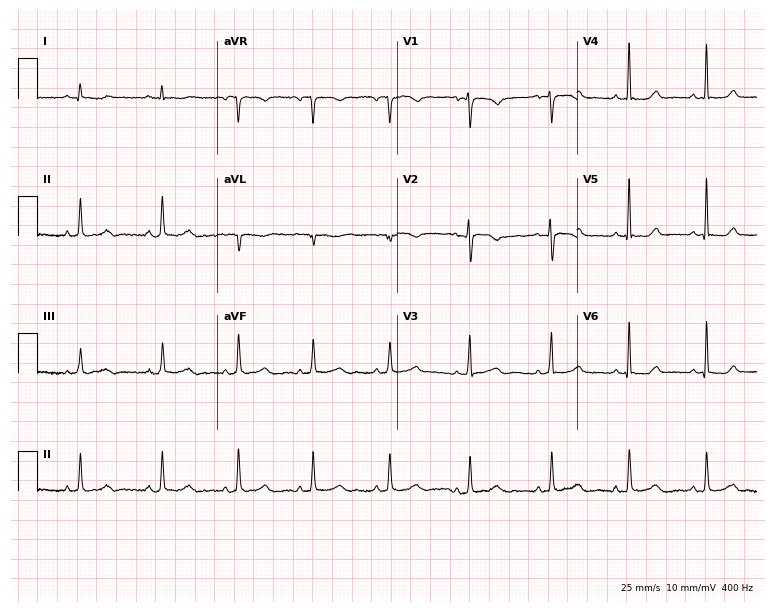
Electrocardiogram (7.3-second recording at 400 Hz), a 39-year-old female patient. Overall reading on record: normal ECG.